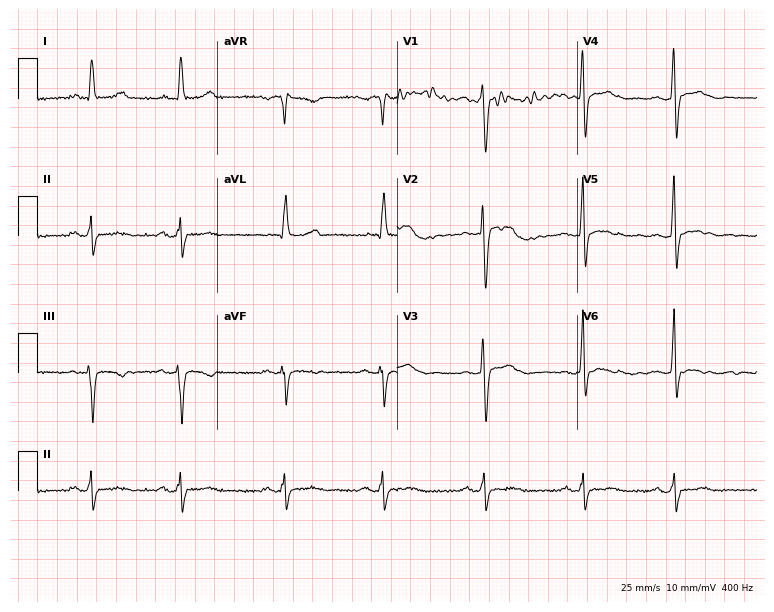
12-lead ECG from a 58-year-old female patient. Screened for six findings — first-degree AV block, right bundle branch block, left bundle branch block, sinus bradycardia, atrial fibrillation, sinus tachycardia — none is recorded. Only these six findings were labelled.